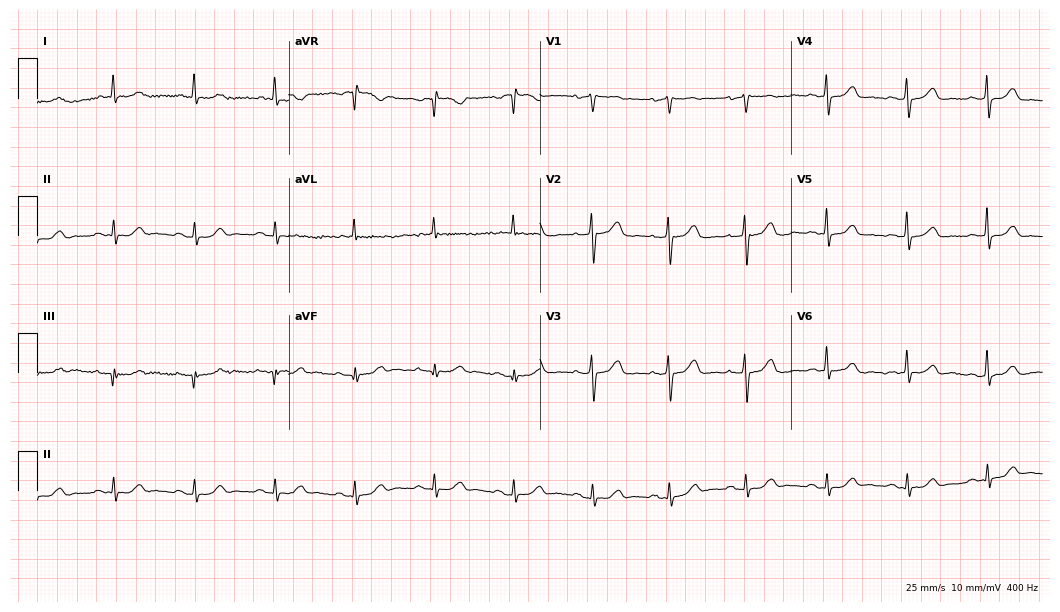
Resting 12-lead electrocardiogram (10.2-second recording at 400 Hz). Patient: a 75-year-old woman. Read as a normal ECG.